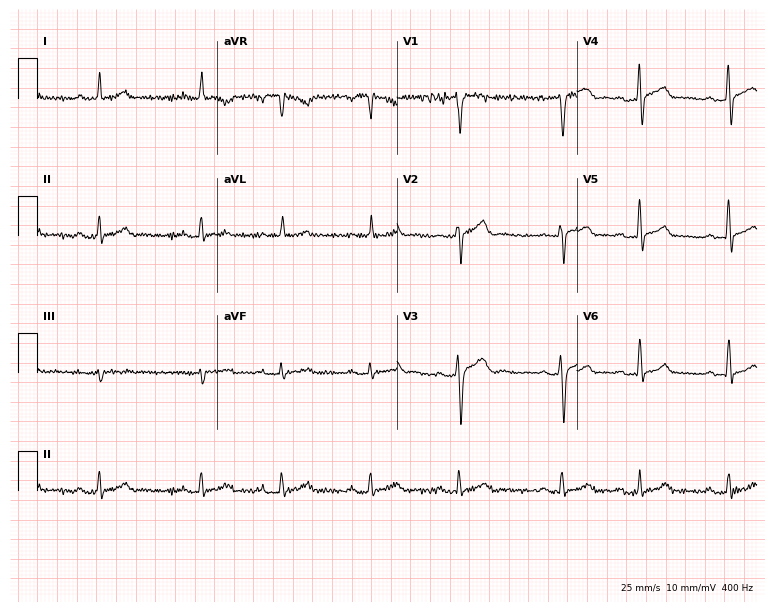
ECG (7.3-second recording at 400 Hz) — a male, 43 years old. Labelled as a normal ECG.